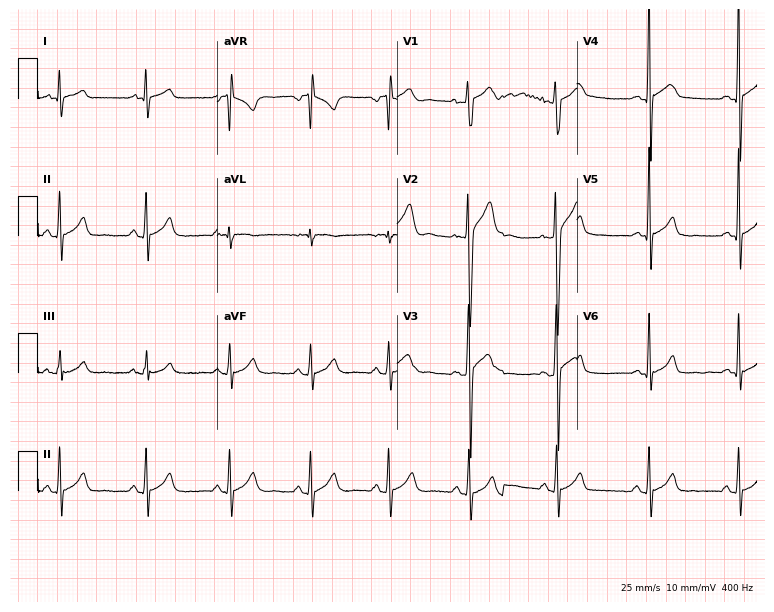
12-lead ECG (7.3-second recording at 400 Hz) from a male, 17 years old. Labelled as a normal ECG.